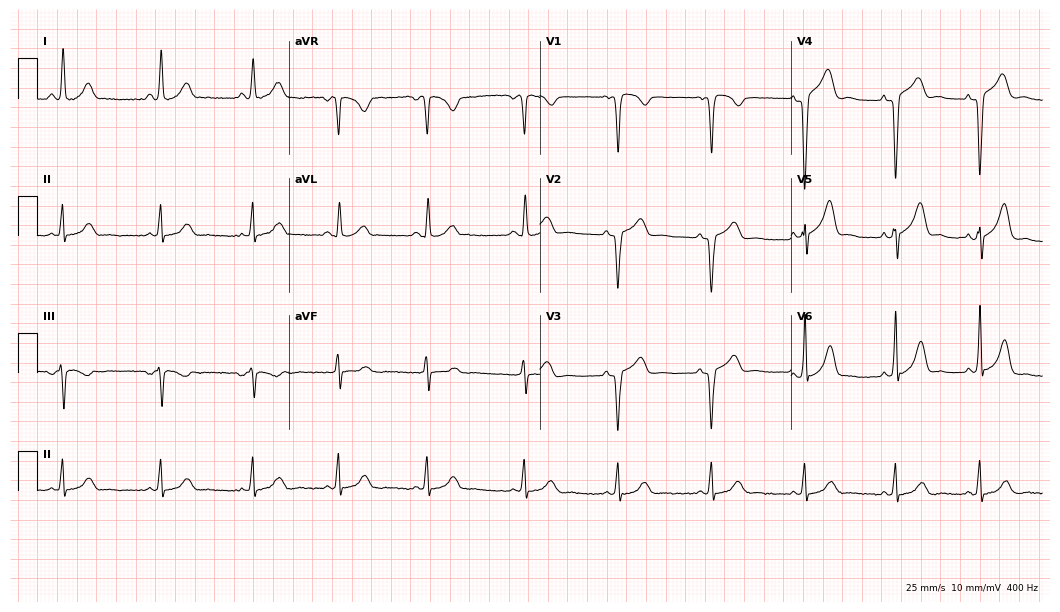
ECG (10.2-second recording at 400 Hz) — a female patient, 43 years old. Screened for six findings — first-degree AV block, right bundle branch block (RBBB), left bundle branch block (LBBB), sinus bradycardia, atrial fibrillation (AF), sinus tachycardia — none is recorded.